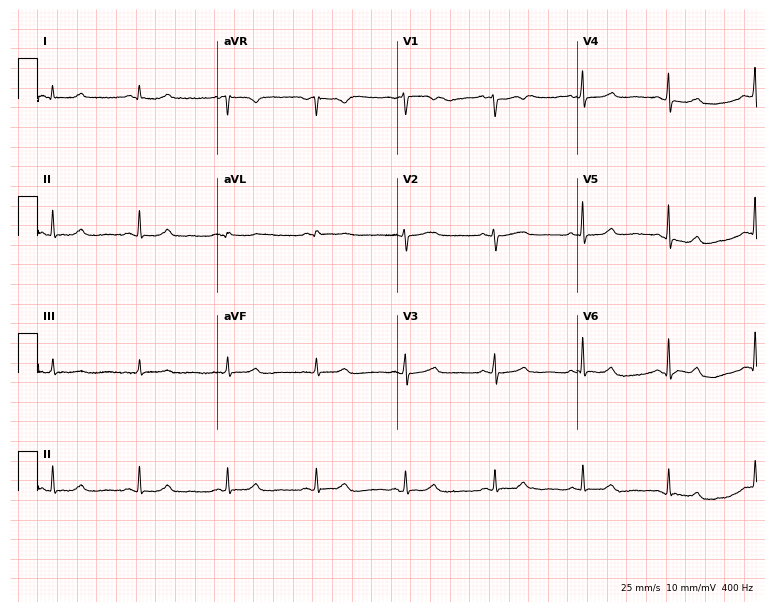
12-lead ECG from a 71-year-old woman (7.3-second recording at 400 Hz). Recorded interpretation: within normal limits.